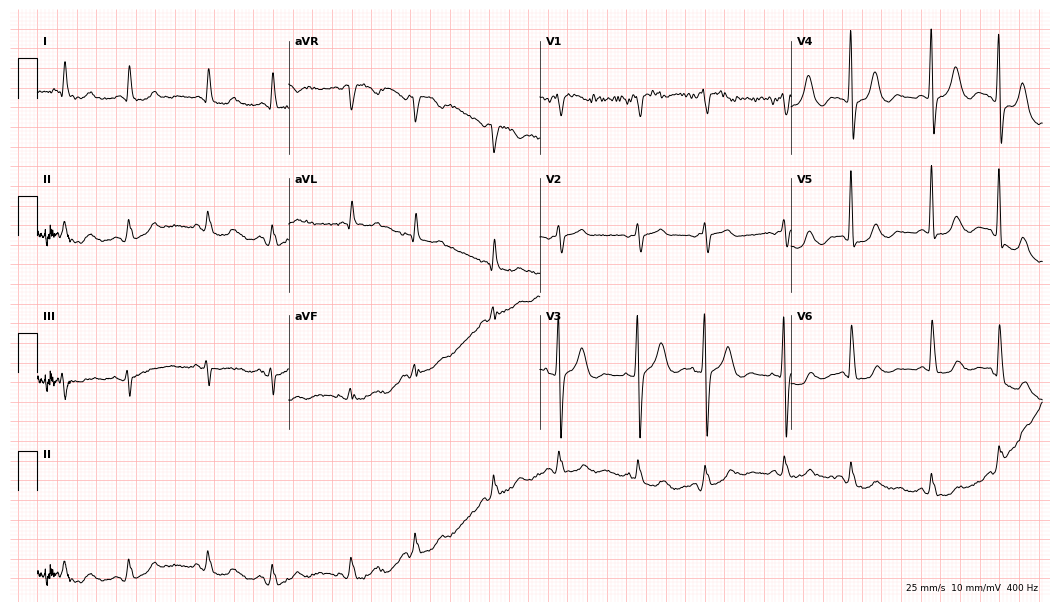
12-lead ECG (10.2-second recording at 400 Hz) from a female, 81 years old. Screened for six findings — first-degree AV block, right bundle branch block, left bundle branch block, sinus bradycardia, atrial fibrillation, sinus tachycardia — none is recorded.